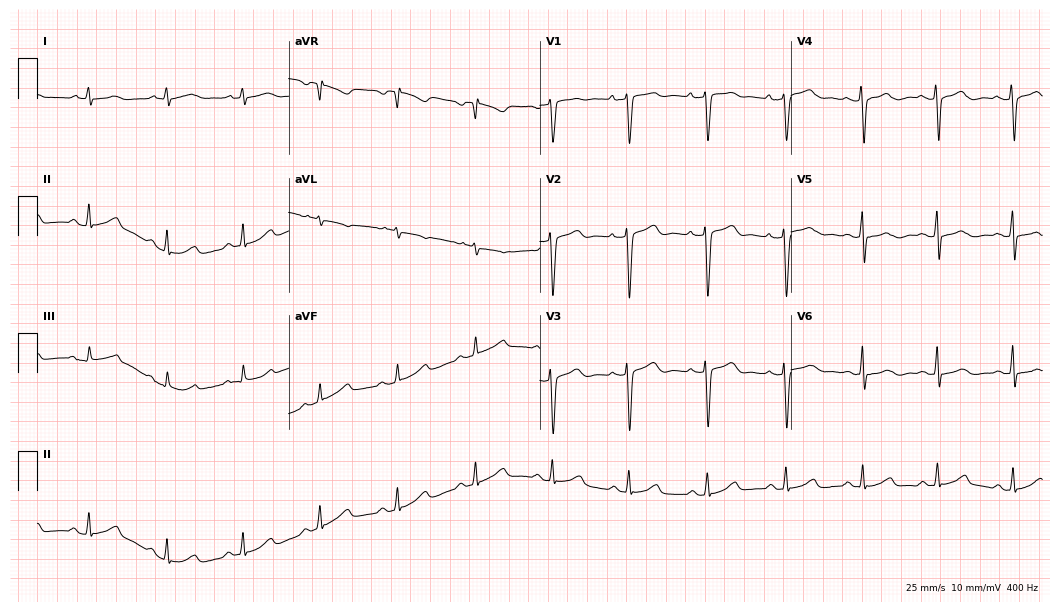
ECG (10.2-second recording at 400 Hz) — a 43-year-old woman. Screened for six findings — first-degree AV block, right bundle branch block, left bundle branch block, sinus bradycardia, atrial fibrillation, sinus tachycardia — none is recorded.